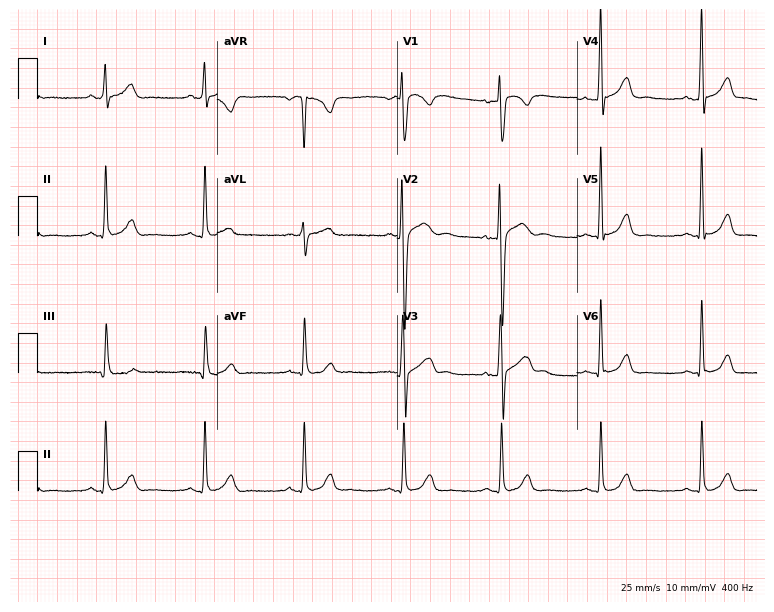
Electrocardiogram, a male, 33 years old. Of the six screened findings (first-degree AV block, right bundle branch block (RBBB), left bundle branch block (LBBB), sinus bradycardia, atrial fibrillation (AF), sinus tachycardia), none is recorded. Findings outside these six are not listed.